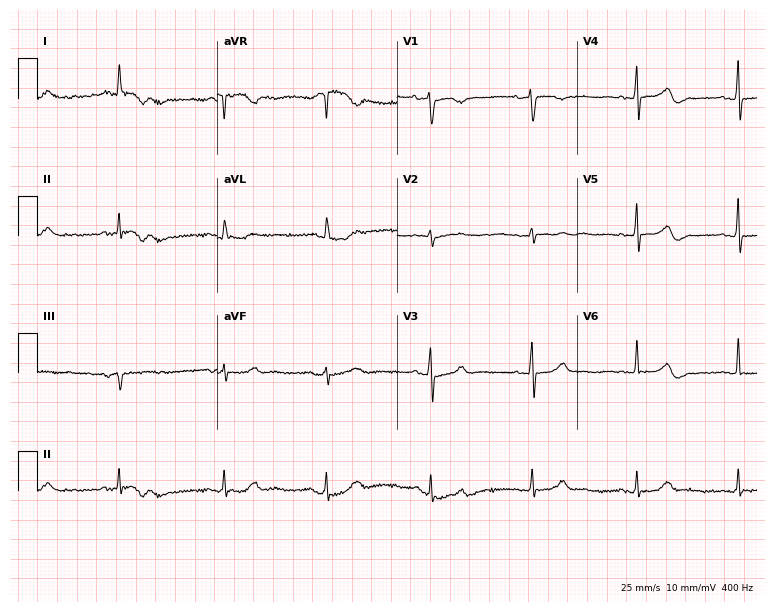
ECG — an 84-year-old female patient. Labelled as a normal ECG.